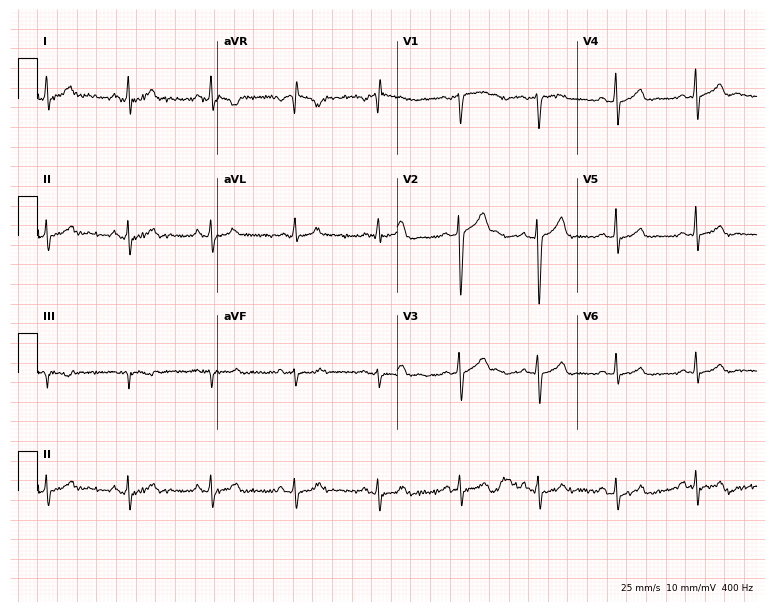
Standard 12-lead ECG recorded from a male patient, 42 years old. Read as a normal ECG.